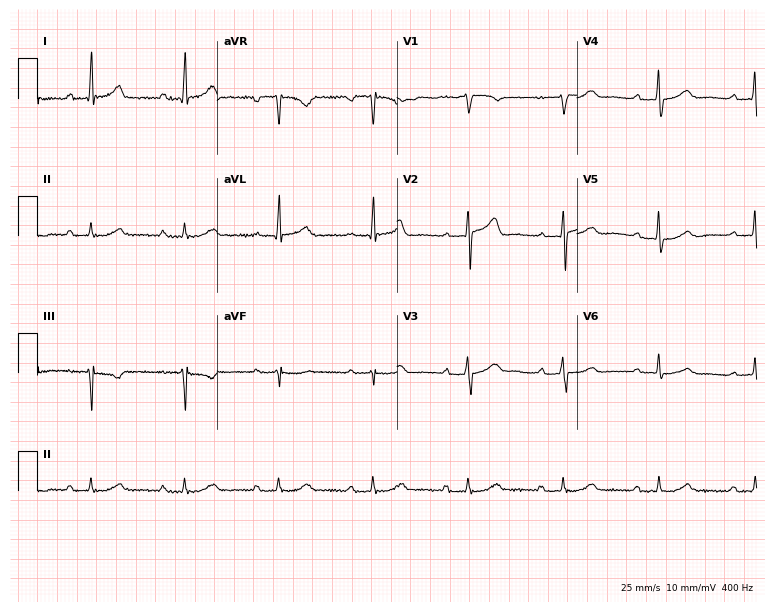
Standard 12-lead ECG recorded from a male patient, 79 years old. The tracing shows first-degree AV block.